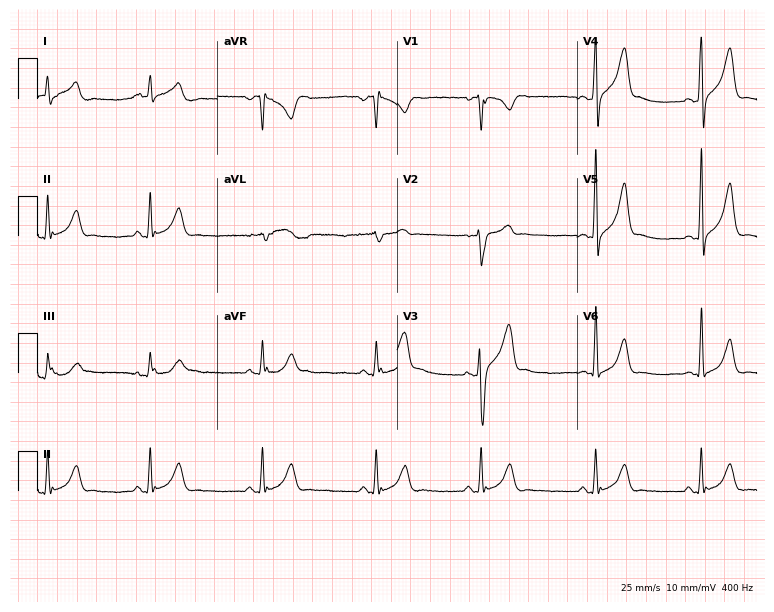
12-lead ECG from a man, 23 years old. Recorded interpretation: within normal limits.